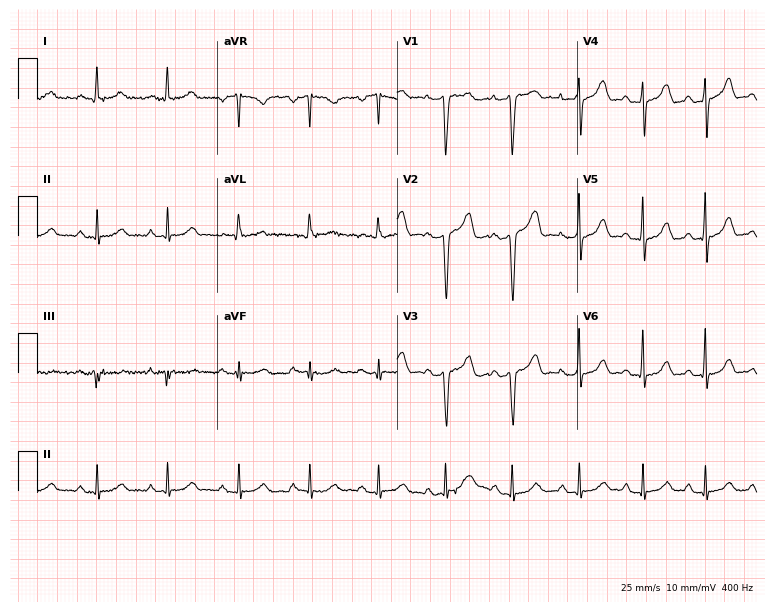
Standard 12-lead ECG recorded from a female patient, 48 years old (7.3-second recording at 400 Hz). None of these six findings is recorded: first-degree AV block, right bundle branch block, left bundle branch block, sinus bradycardia, atrial fibrillation, sinus tachycardia.